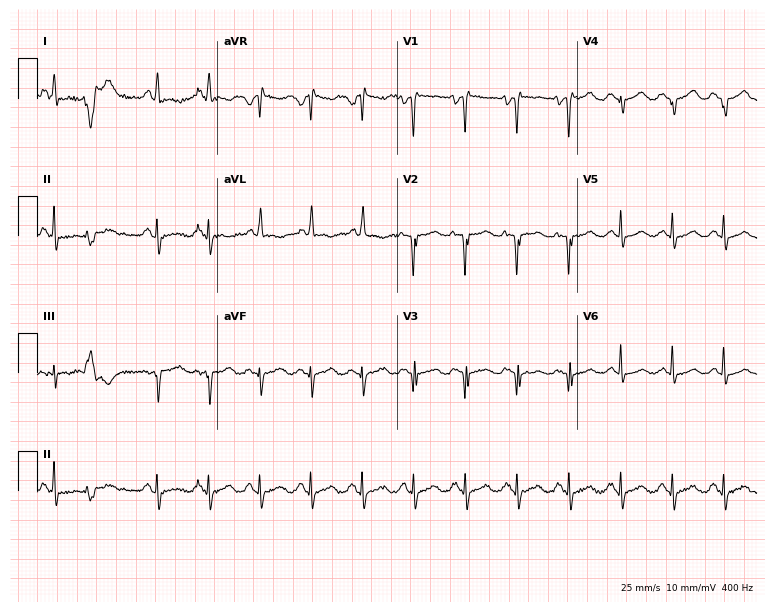
12-lead ECG from a 50-year-old woman. Shows sinus tachycardia (a sinus rate of 100 beats per minute or more).